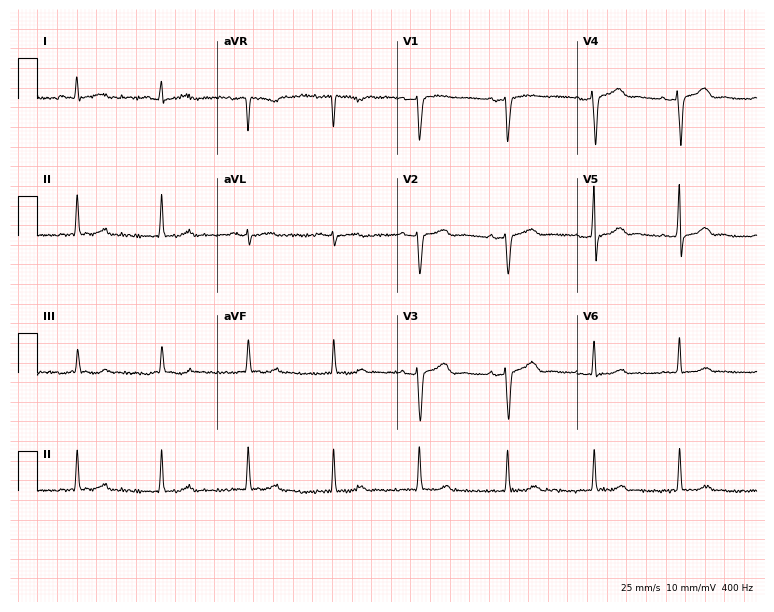
Standard 12-lead ECG recorded from a 49-year-old female. None of these six findings is recorded: first-degree AV block, right bundle branch block (RBBB), left bundle branch block (LBBB), sinus bradycardia, atrial fibrillation (AF), sinus tachycardia.